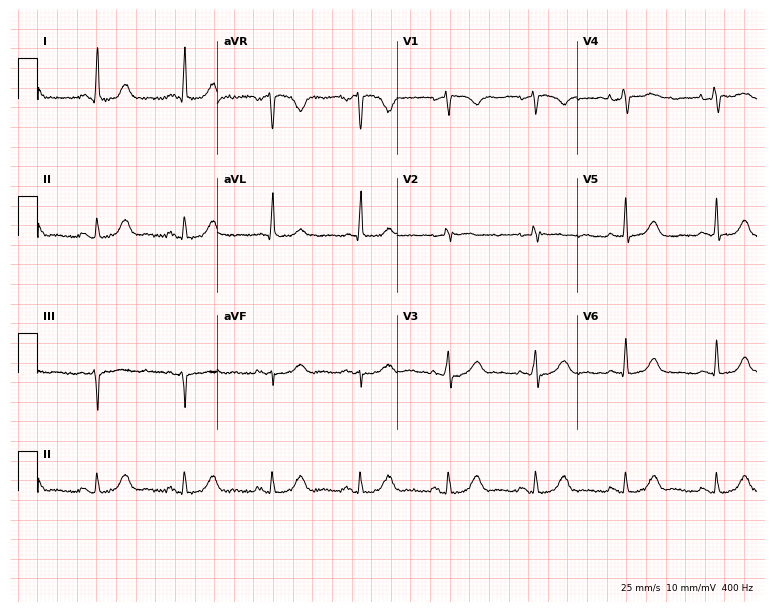
Standard 12-lead ECG recorded from a 57-year-old female (7.3-second recording at 400 Hz). Read as a normal ECG.